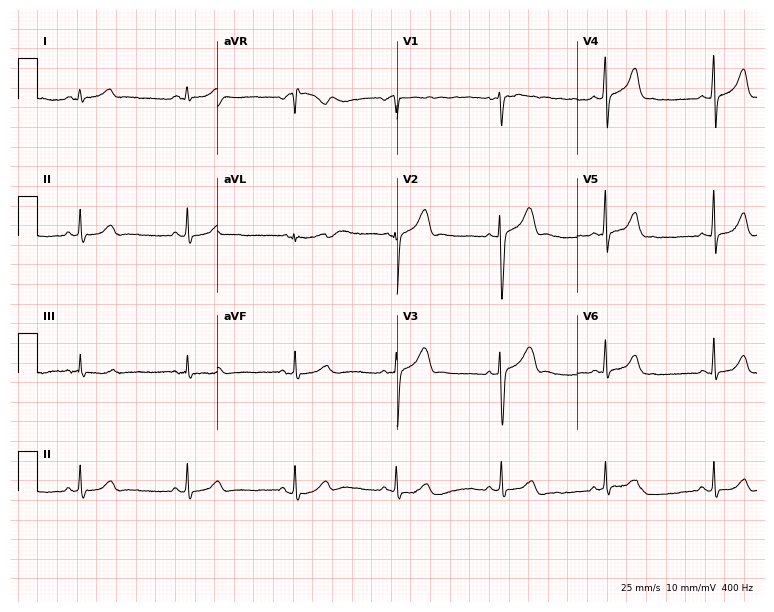
Resting 12-lead electrocardiogram (7.3-second recording at 400 Hz). Patient: a female, 24 years old. Read as a normal ECG.